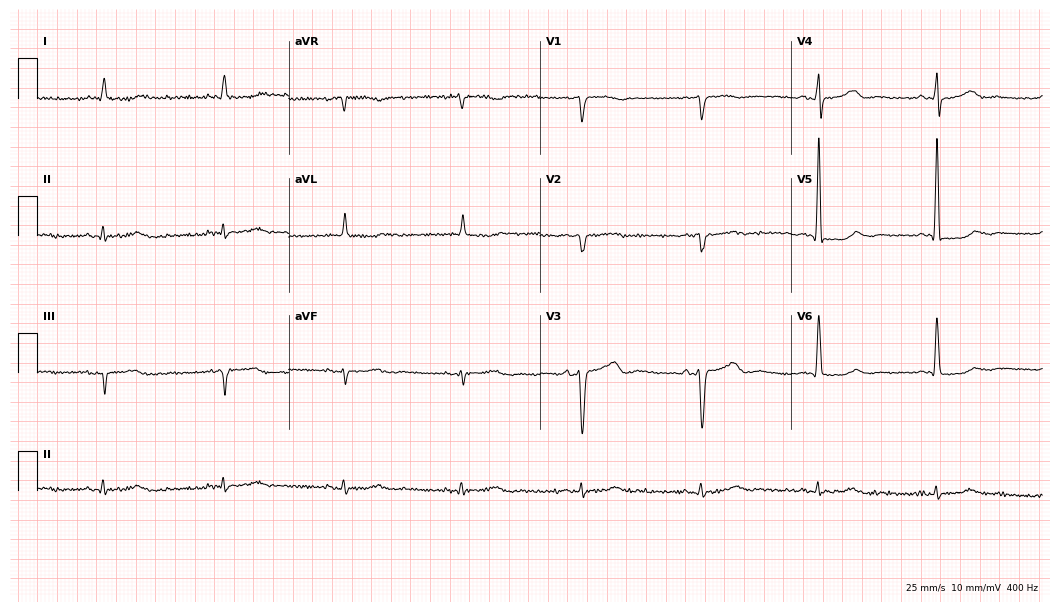
12-lead ECG from an 80-year-old male patient. Shows sinus bradycardia (a sinus rate of 50 beats per minute or less).